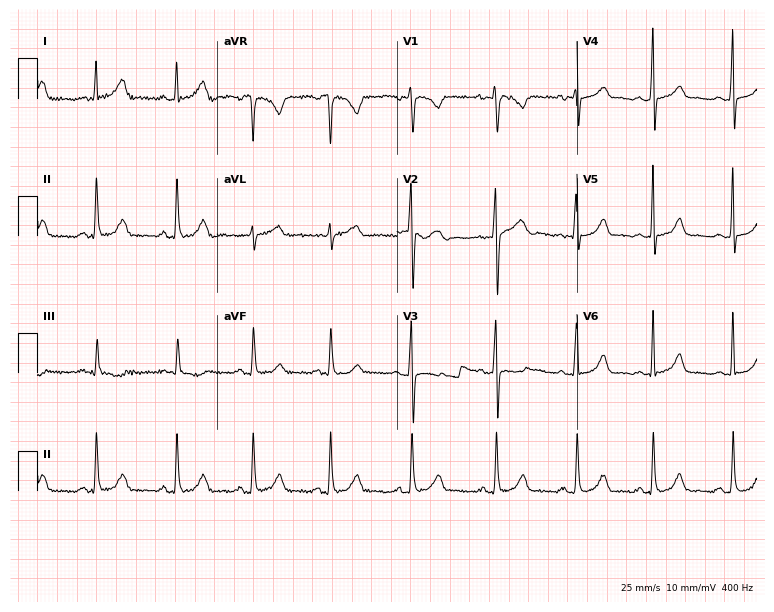
12-lead ECG from a 34-year-old female patient (7.3-second recording at 400 Hz). Recorded interpretation: within normal limits.